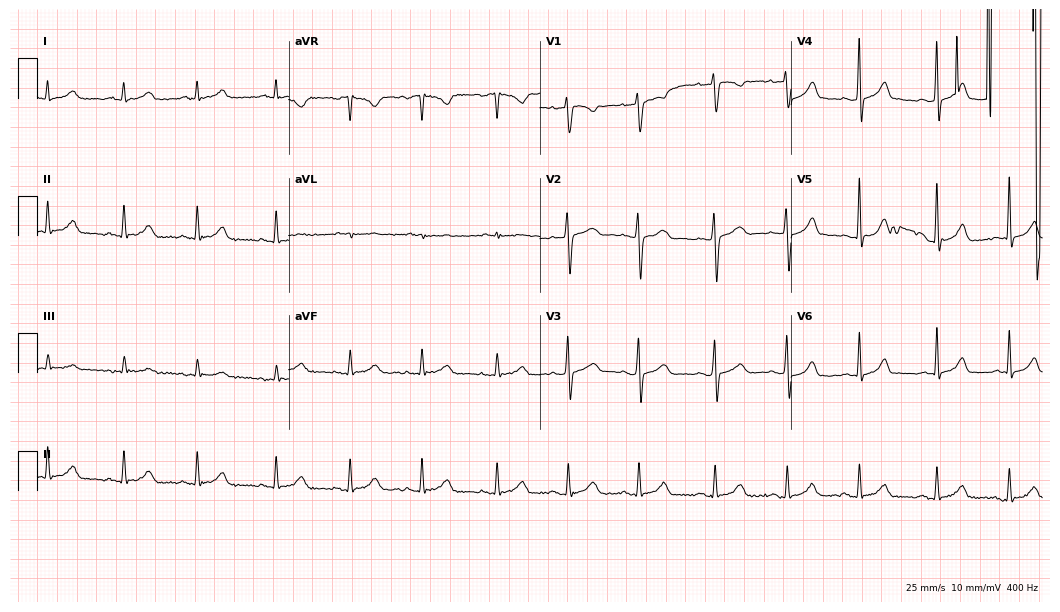
Resting 12-lead electrocardiogram (10.2-second recording at 400 Hz). Patient: a 28-year-old woman. None of these six findings is recorded: first-degree AV block, right bundle branch block, left bundle branch block, sinus bradycardia, atrial fibrillation, sinus tachycardia.